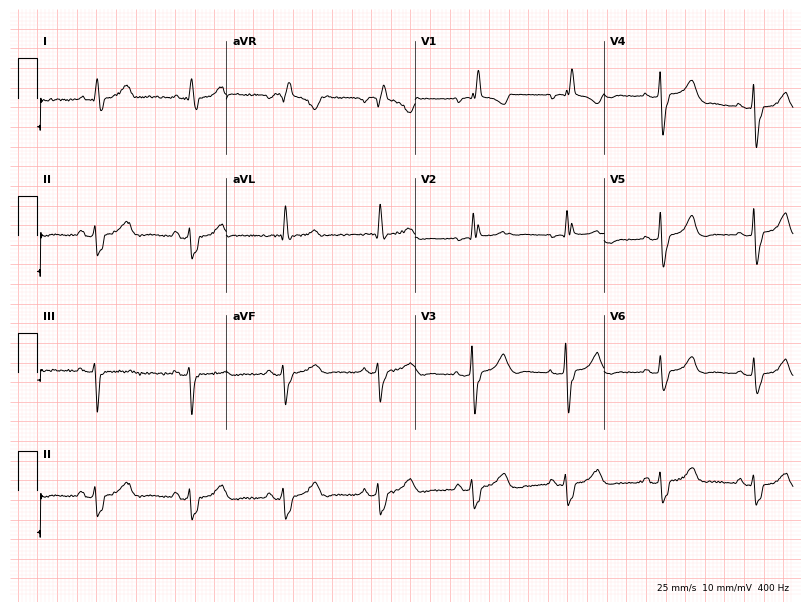
ECG (7.7-second recording at 400 Hz) — an 85-year-old woman. Findings include right bundle branch block.